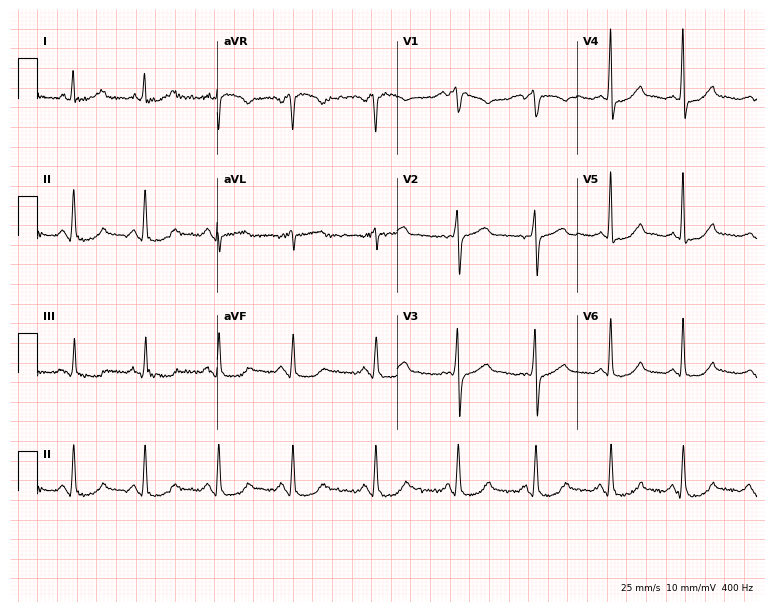
ECG — a woman, 59 years old. Labelled as a normal ECG.